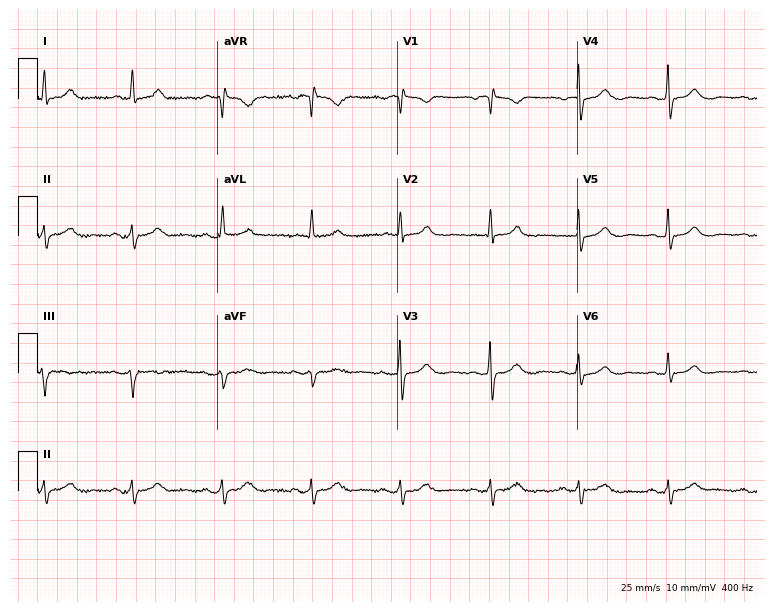
12-lead ECG (7.3-second recording at 400 Hz) from a female patient, 84 years old. Labelled as a normal ECG.